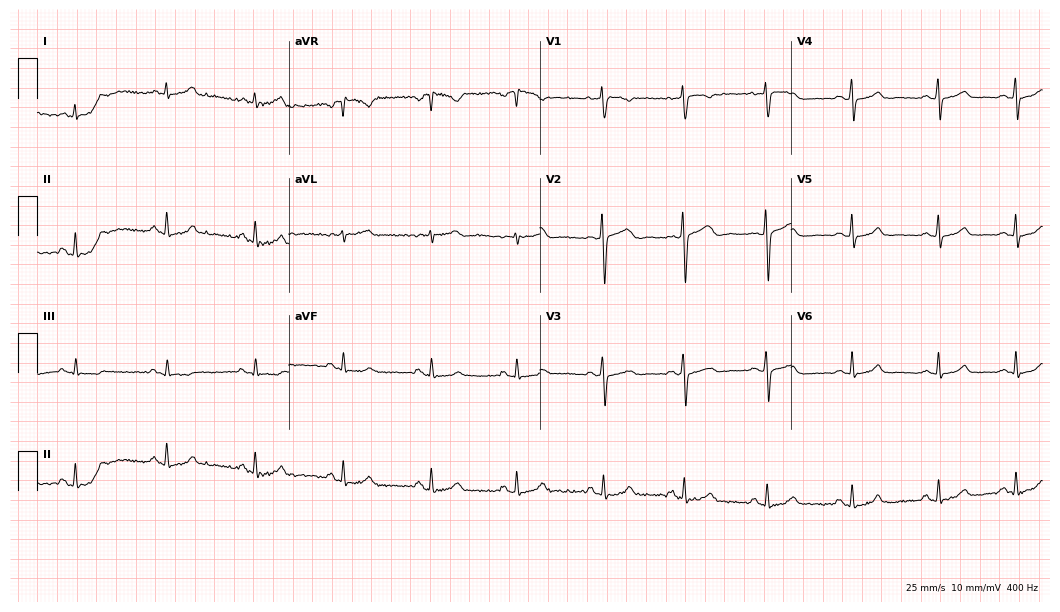
12-lead ECG from a 27-year-old female patient. Labelled as a normal ECG.